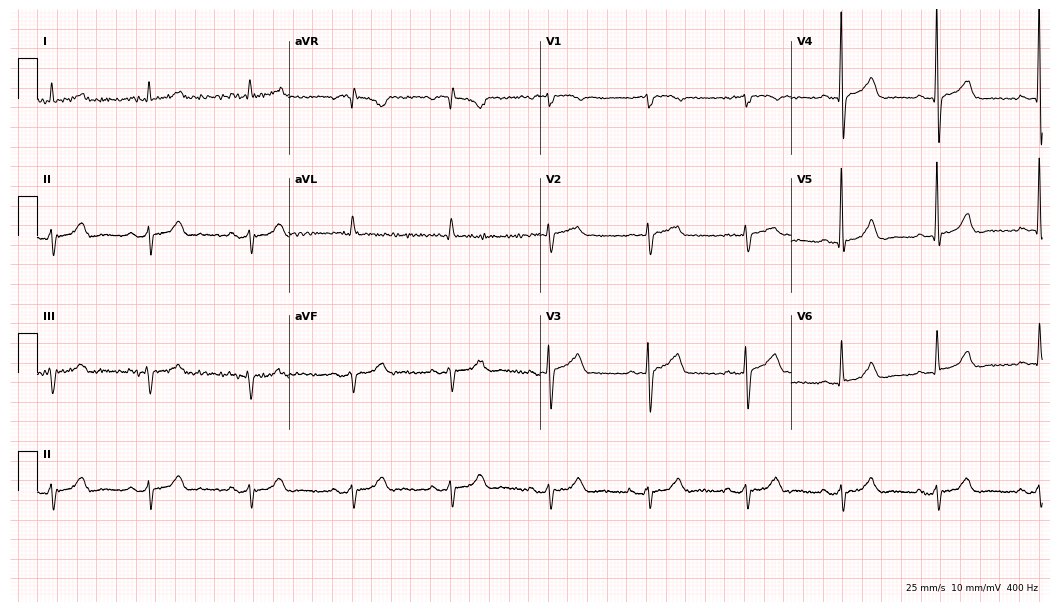
12-lead ECG from a 73-year-old male. Screened for six findings — first-degree AV block, right bundle branch block (RBBB), left bundle branch block (LBBB), sinus bradycardia, atrial fibrillation (AF), sinus tachycardia — none is recorded.